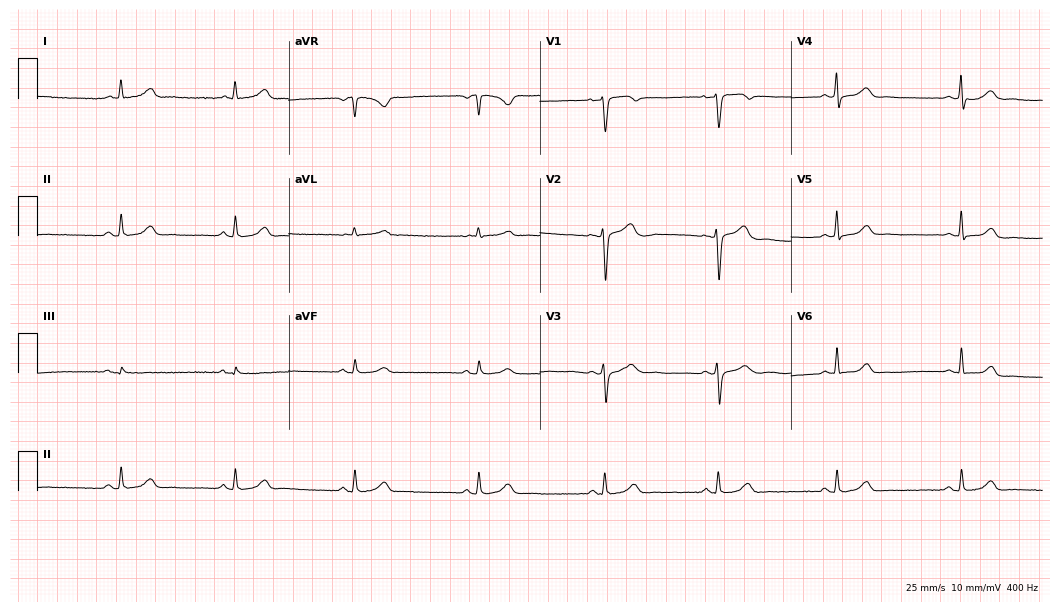
Standard 12-lead ECG recorded from a 40-year-old woman. Read as a normal ECG.